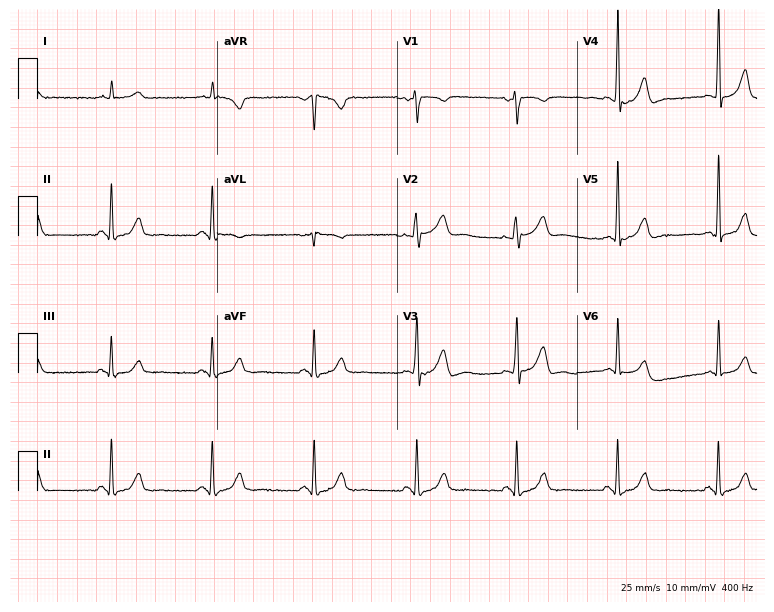
ECG (7.3-second recording at 400 Hz) — a man, 64 years old. Labelled as a normal ECG.